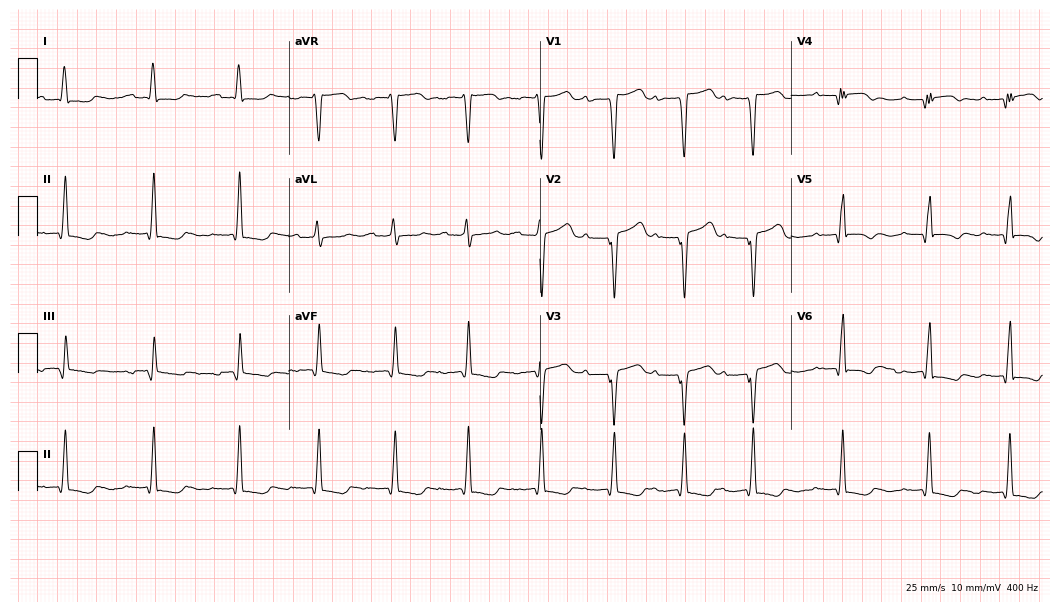
12-lead ECG from a male patient, 78 years old. Shows first-degree AV block.